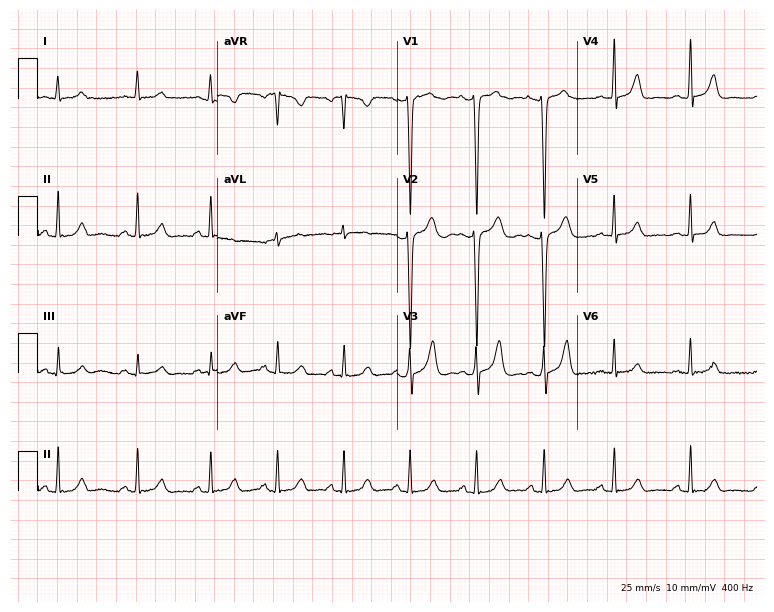
12-lead ECG from a 28-year-old female patient. Labelled as a normal ECG.